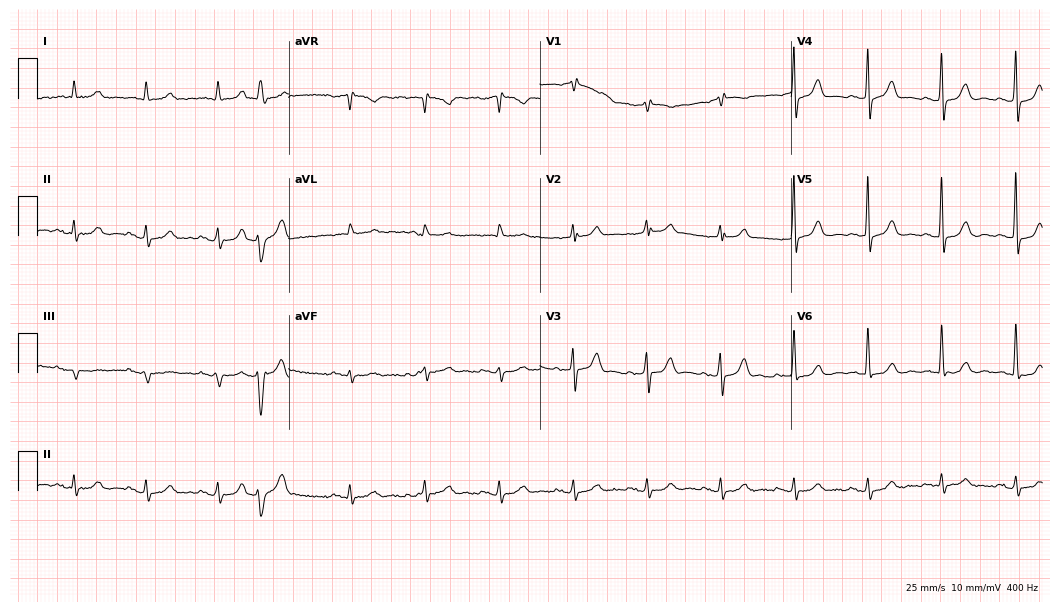
12-lead ECG (10.2-second recording at 400 Hz) from a male patient, 82 years old. Screened for six findings — first-degree AV block, right bundle branch block, left bundle branch block, sinus bradycardia, atrial fibrillation, sinus tachycardia — none is recorded. Only these six findings were labelled.